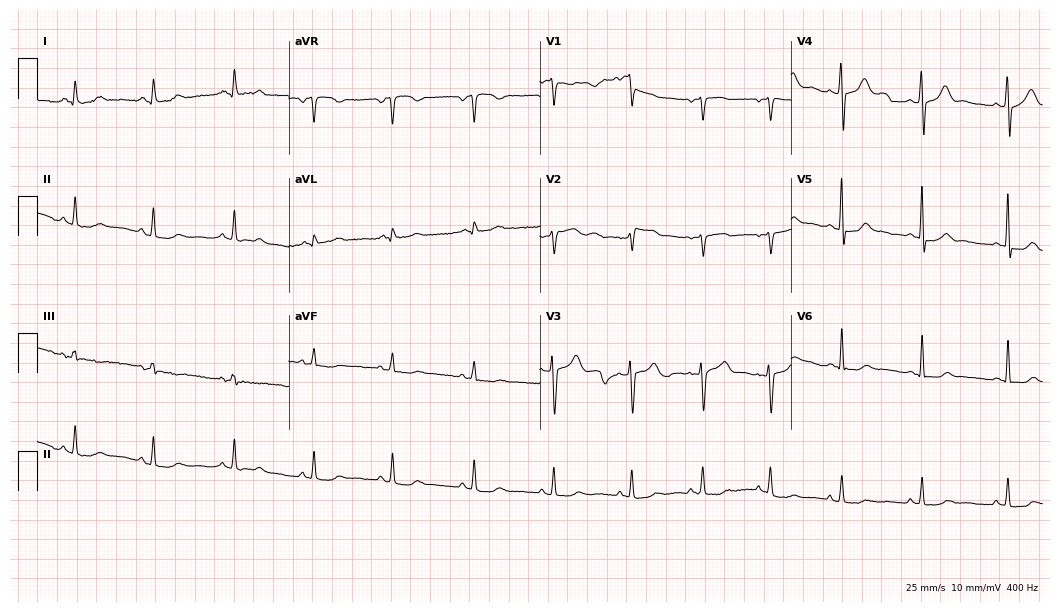
12-lead ECG from a female, 39 years old. Recorded interpretation: within normal limits.